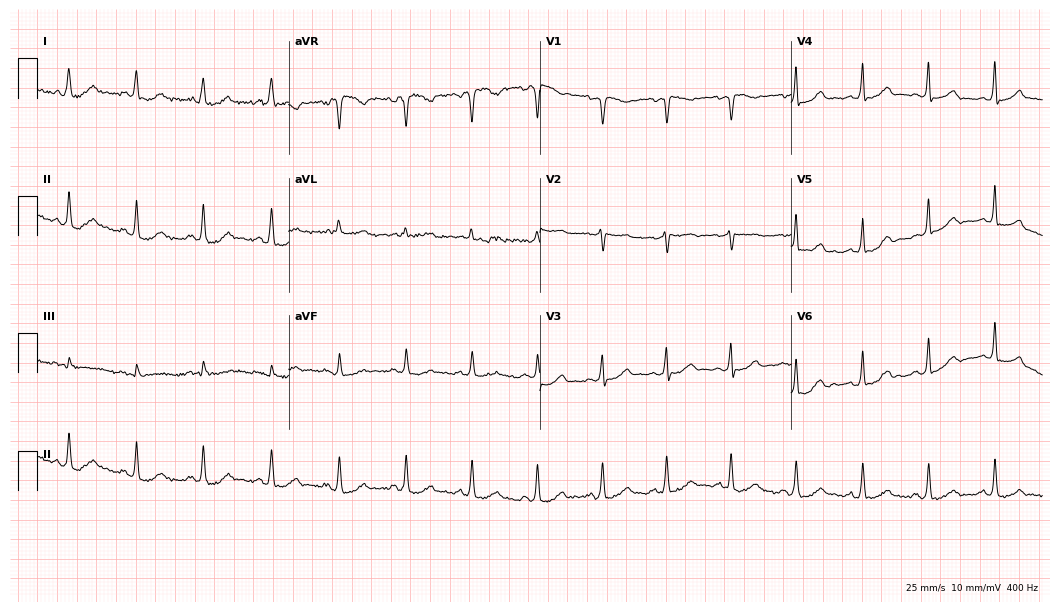
Electrocardiogram, a 49-year-old female patient. Overall reading on record: normal ECG.